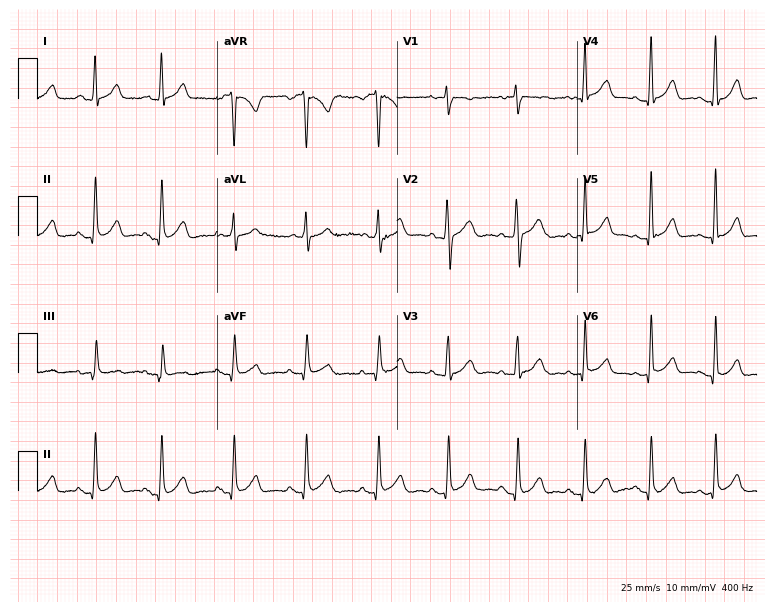
Electrocardiogram (7.3-second recording at 400 Hz), a woman, 30 years old. Overall reading on record: normal ECG.